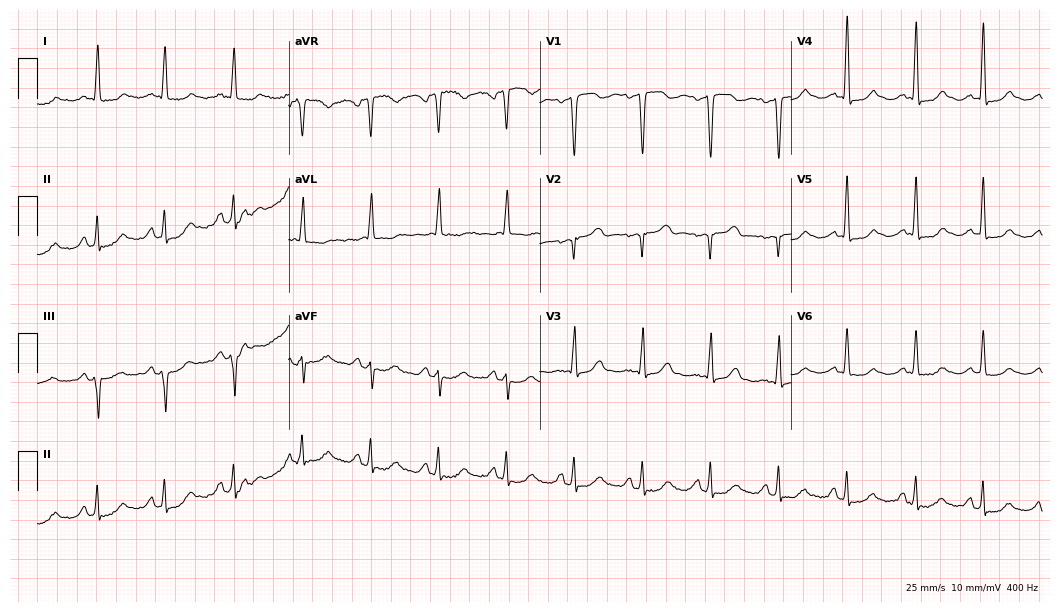
12-lead ECG (10.2-second recording at 400 Hz) from a female patient, 75 years old. Screened for six findings — first-degree AV block, right bundle branch block, left bundle branch block, sinus bradycardia, atrial fibrillation, sinus tachycardia — none is recorded.